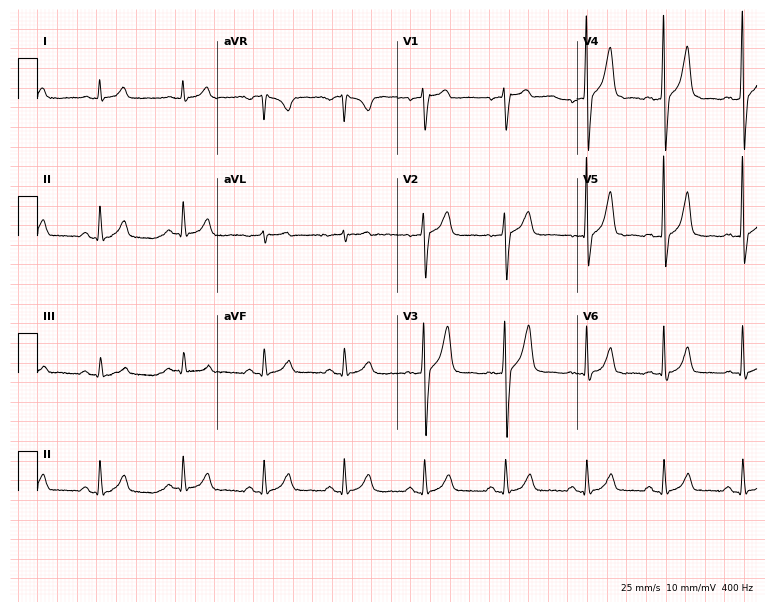
ECG (7.3-second recording at 400 Hz) — a 51-year-old man. Screened for six findings — first-degree AV block, right bundle branch block (RBBB), left bundle branch block (LBBB), sinus bradycardia, atrial fibrillation (AF), sinus tachycardia — none is recorded.